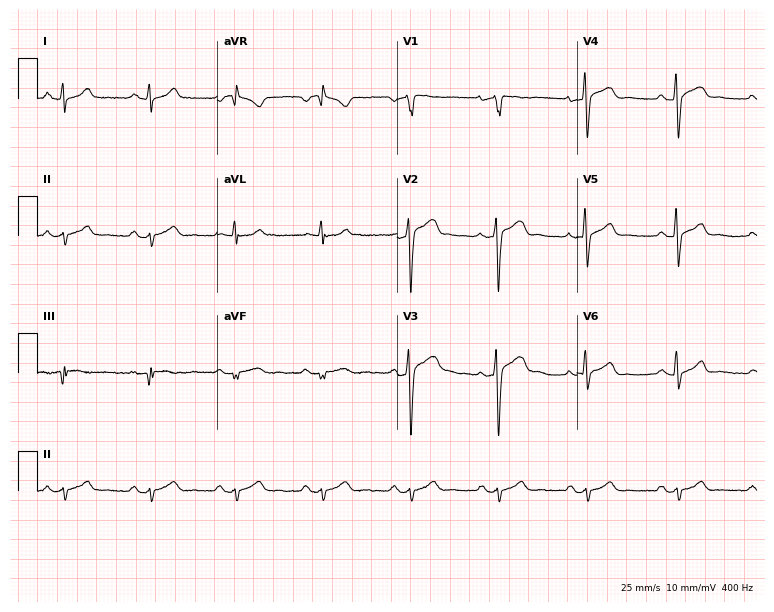
Electrocardiogram (7.3-second recording at 400 Hz), a man, 43 years old. Of the six screened findings (first-degree AV block, right bundle branch block, left bundle branch block, sinus bradycardia, atrial fibrillation, sinus tachycardia), none is recorded.